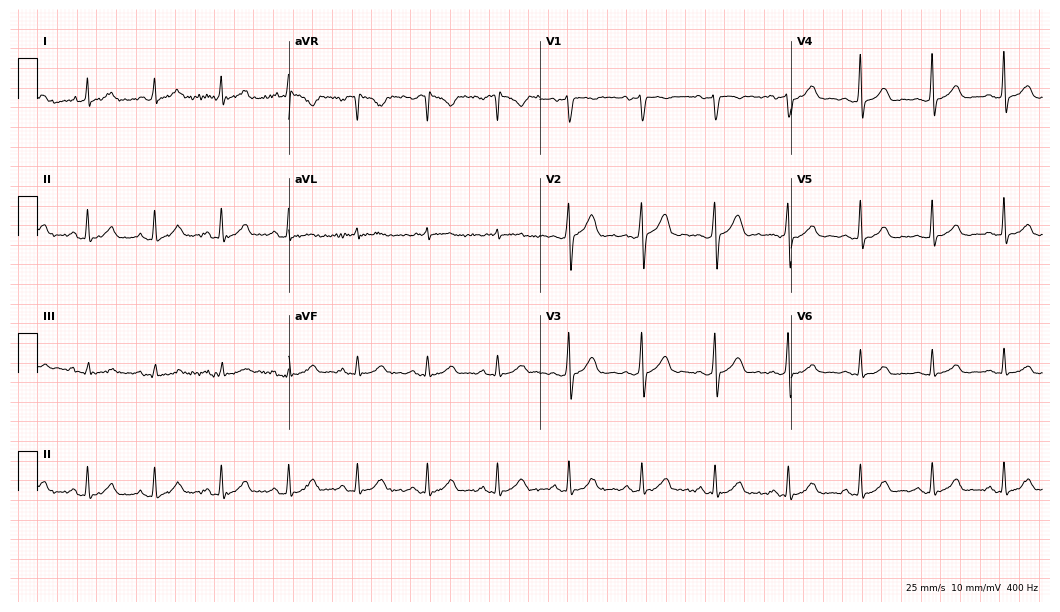
12-lead ECG (10.2-second recording at 400 Hz) from a male patient, 39 years old. Labelled as a normal ECG.